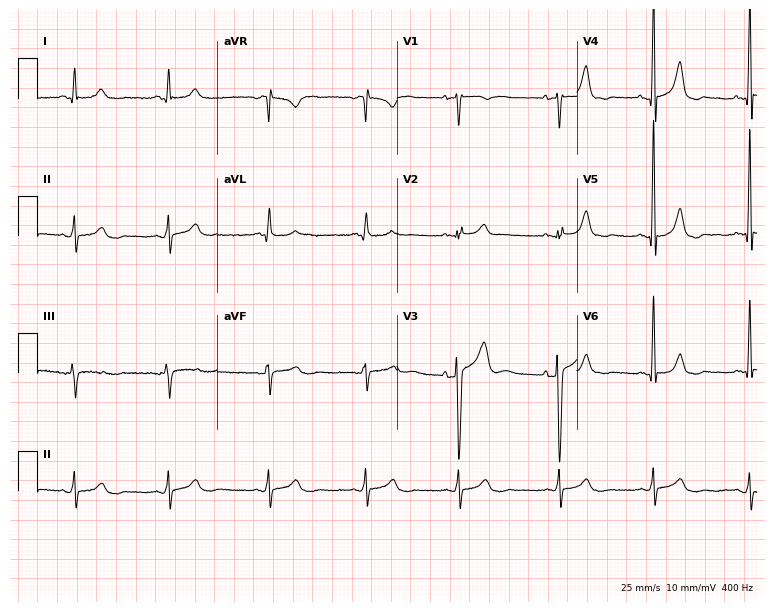
Standard 12-lead ECG recorded from a man, 49 years old. Read as a normal ECG.